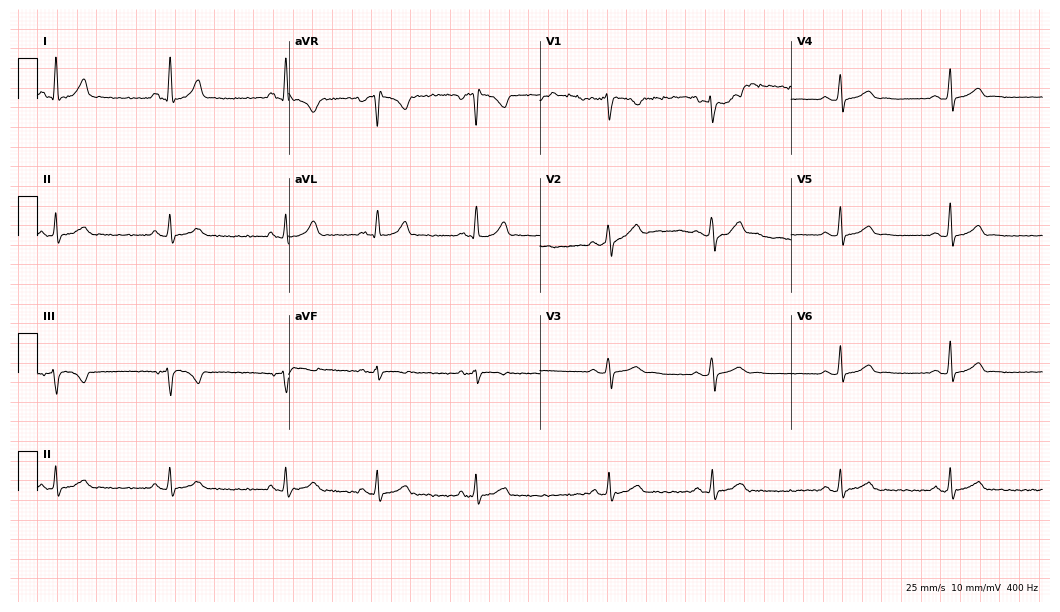
Electrocardiogram, a male patient, 24 years old. Overall reading on record: normal ECG.